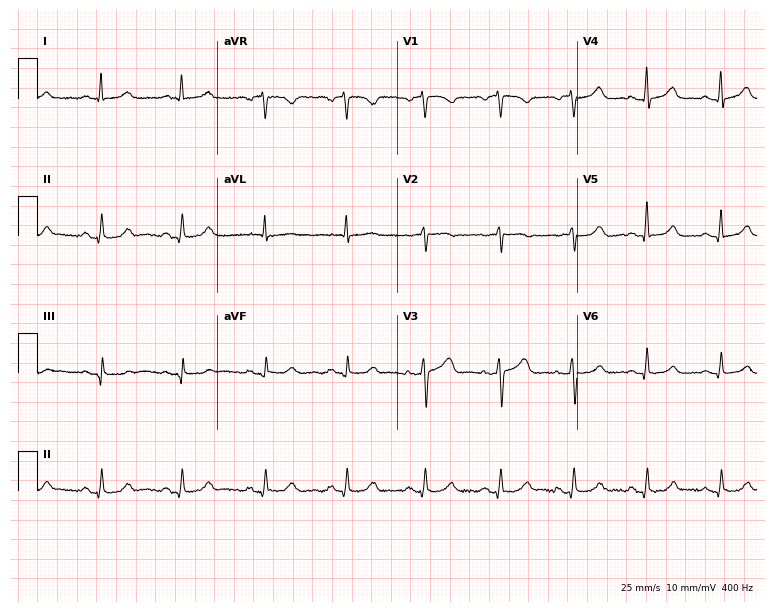
Resting 12-lead electrocardiogram (7.3-second recording at 400 Hz). Patient: a male, 67 years old. Read as a normal ECG.